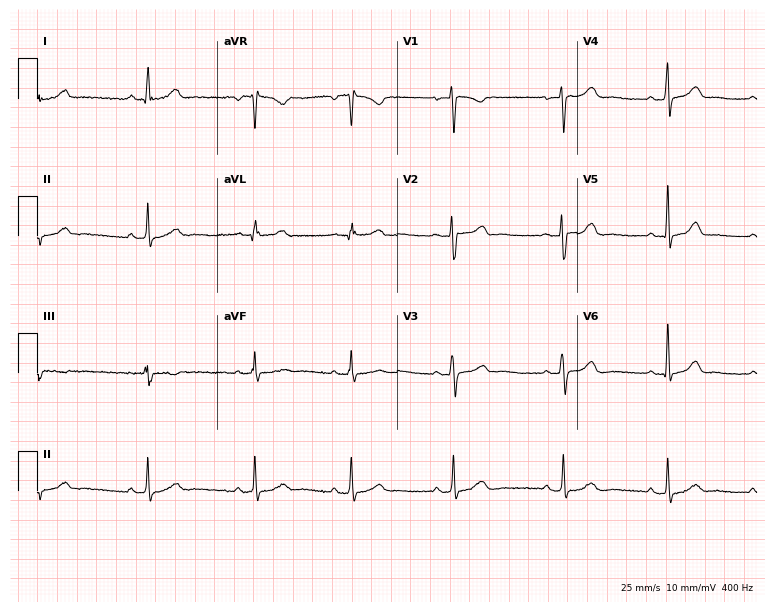
Resting 12-lead electrocardiogram. Patient: a 40-year-old woman. Read as a normal ECG.